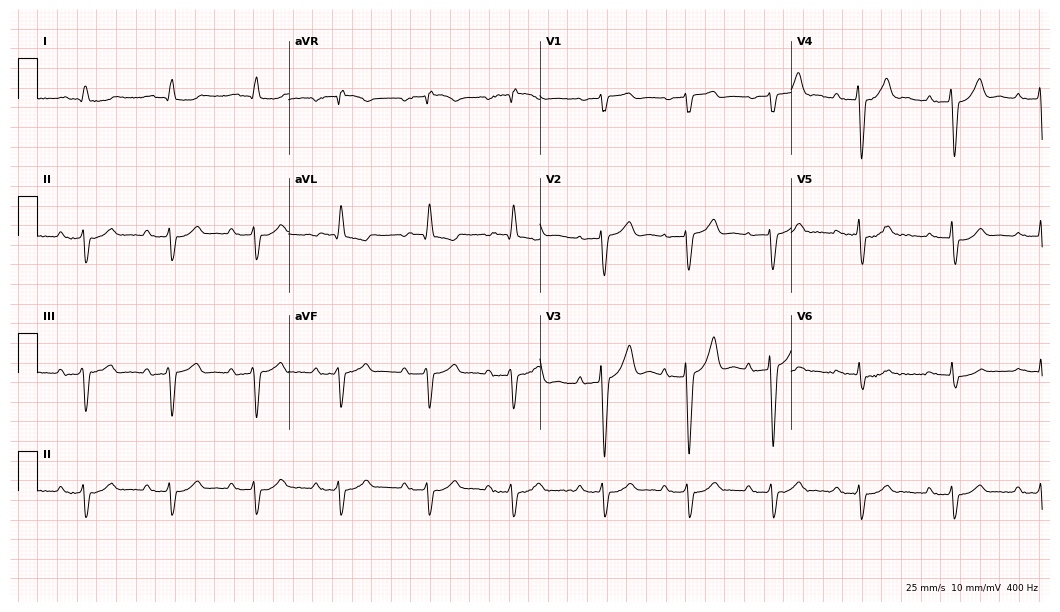
Resting 12-lead electrocardiogram. Patient: a male, 73 years old. The tracing shows first-degree AV block.